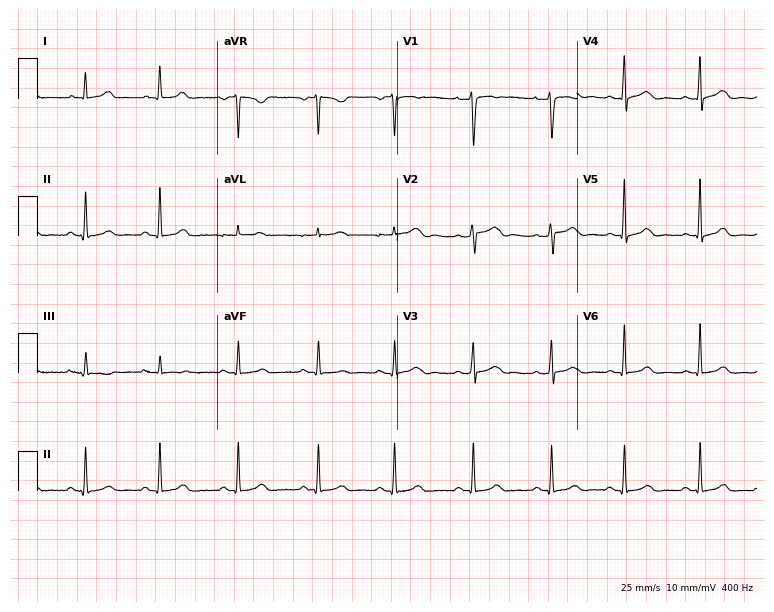
12-lead ECG from a female patient, 32 years old (7.3-second recording at 400 Hz). Recorded interpretation: within normal limits.